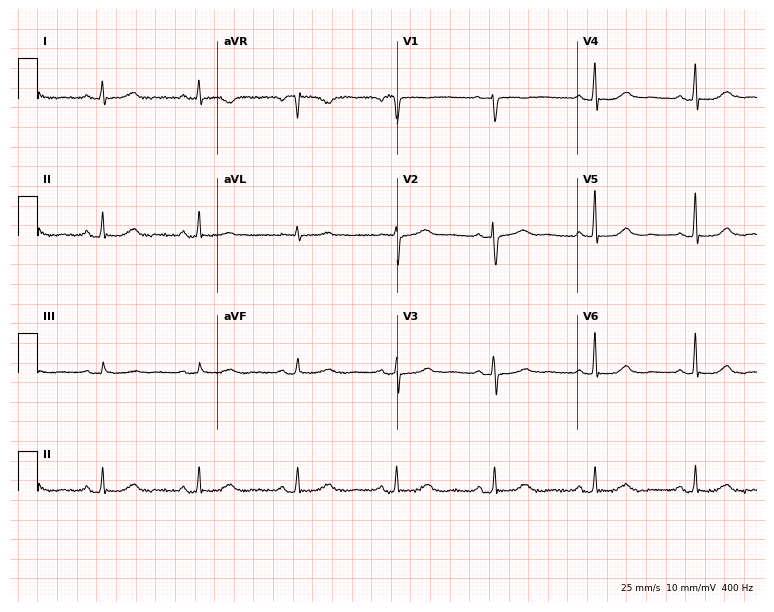
12-lead ECG from a female, 57 years old (7.3-second recording at 400 Hz). No first-degree AV block, right bundle branch block, left bundle branch block, sinus bradycardia, atrial fibrillation or sinus tachycardia recorded for this tracing.